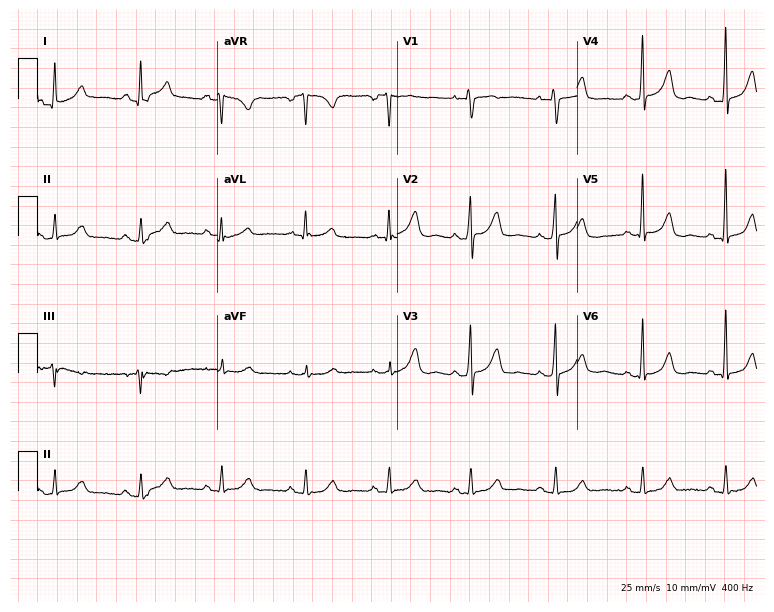
Resting 12-lead electrocardiogram. Patient: a woman, 53 years old. None of these six findings is recorded: first-degree AV block, right bundle branch block, left bundle branch block, sinus bradycardia, atrial fibrillation, sinus tachycardia.